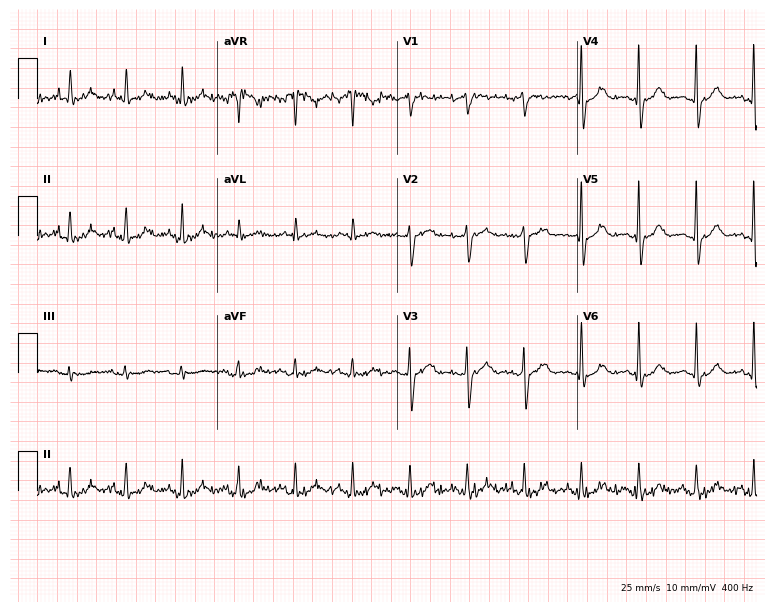
12-lead ECG from a male patient, 69 years old (7.3-second recording at 400 Hz). Shows sinus tachycardia (a sinus rate of 100 beats per minute or more).